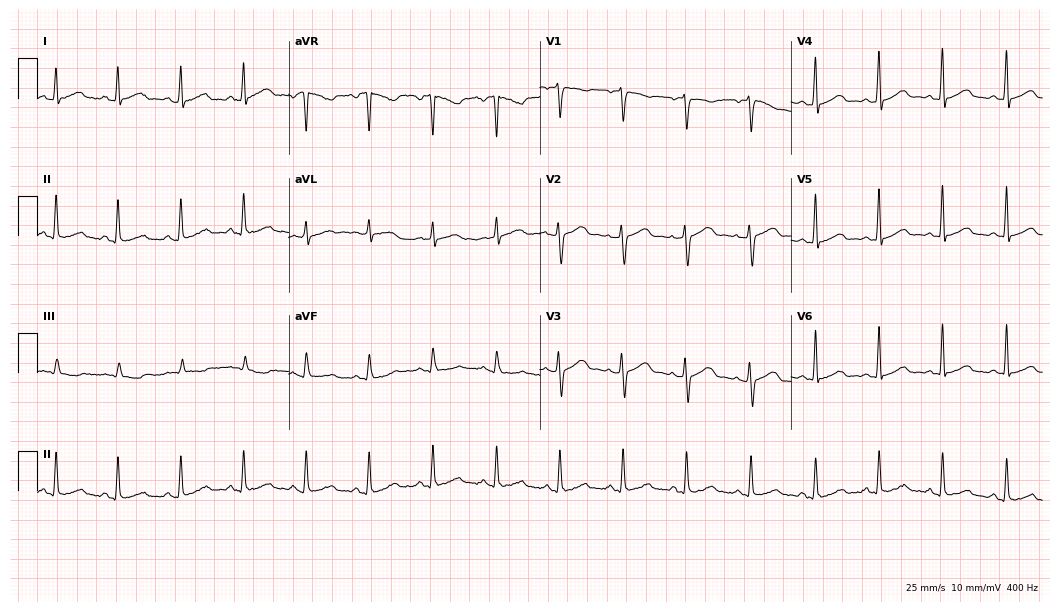
ECG — a 35-year-old female patient. Labelled as a normal ECG.